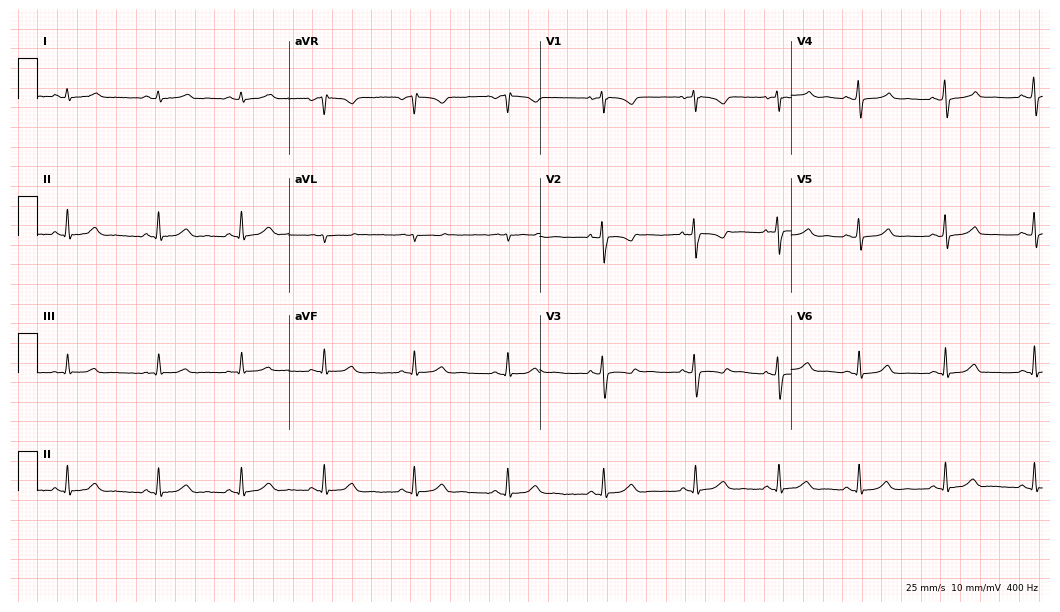
Resting 12-lead electrocardiogram (10.2-second recording at 400 Hz). Patient: a female, 27 years old. Read as a normal ECG.